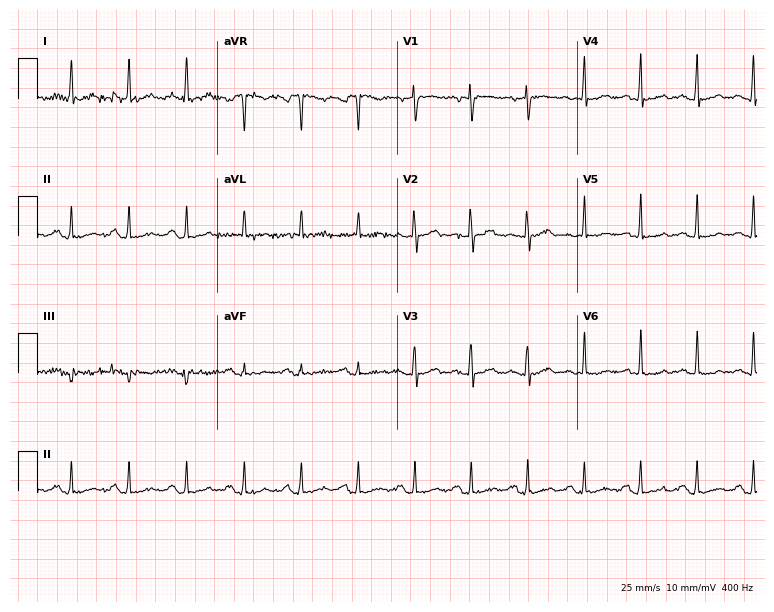
Standard 12-lead ECG recorded from a male, 42 years old (7.3-second recording at 400 Hz). The tracing shows sinus tachycardia (a sinus rate of 100 beats per minute or more).